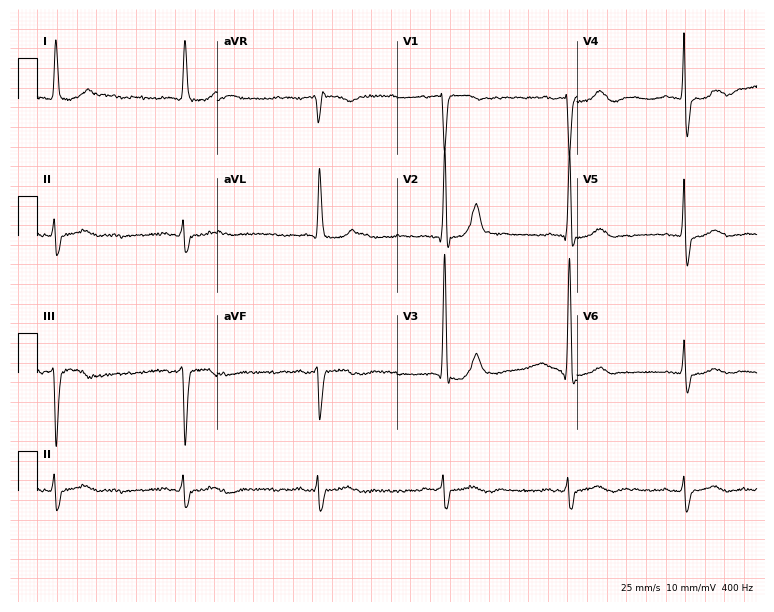
12-lead ECG (7.3-second recording at 400 Hz) from an 85-year-old female patient. Findings include sinus bradycardia (a sinus rate of 50 beats per minute or less).